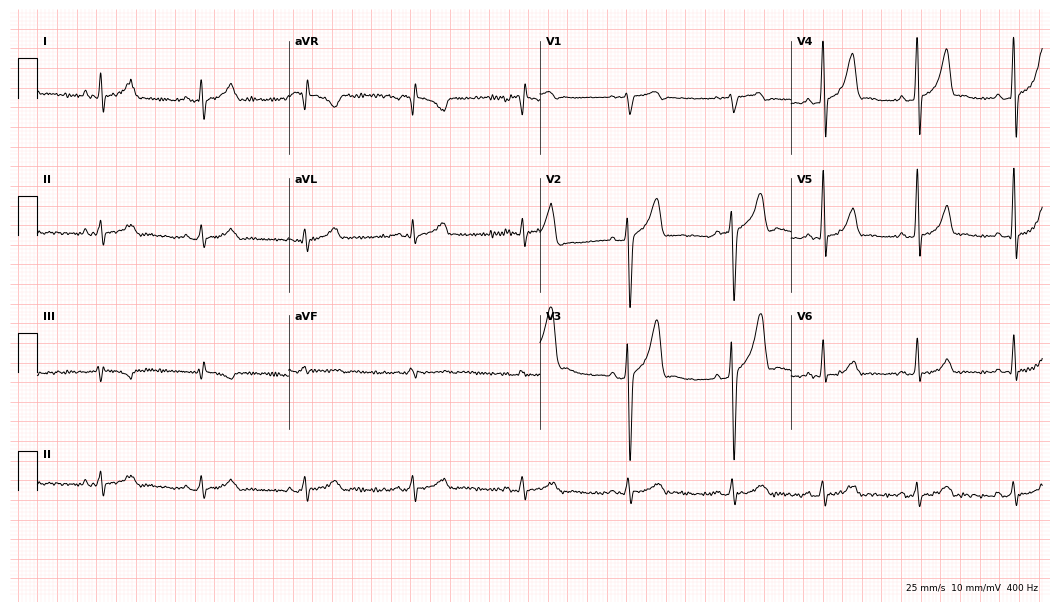
12-lead ECG from a man, 35 years old. No first-degree AV block, right bundle branch block, left bundle branch block, sinus bradycardia, atrial fibrillation or sinus tachycardia recorded for this tracing. Only these six findings were labelled.